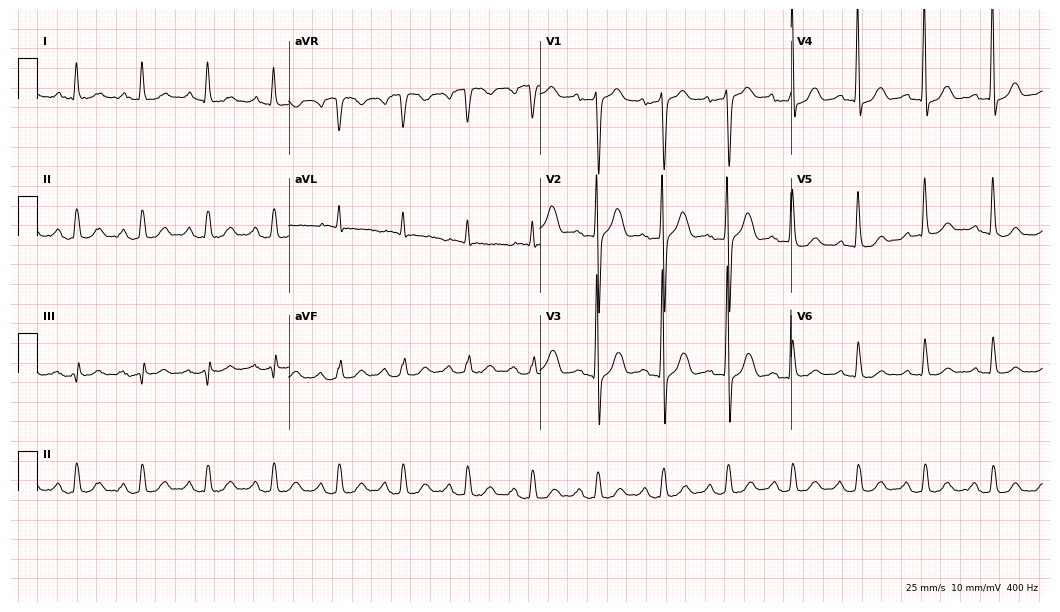
12-lead ECG from a male, 75 years old (10.2-second recording at 400 Hz). No first-degree AV block, right bundle branch block (RBBB), left bundle branch block (LBBB), sinus bradycardia, atrial fibrillation (AF) or sinus tachycardia recorded for this tracing. Findings outside these six are not listed.